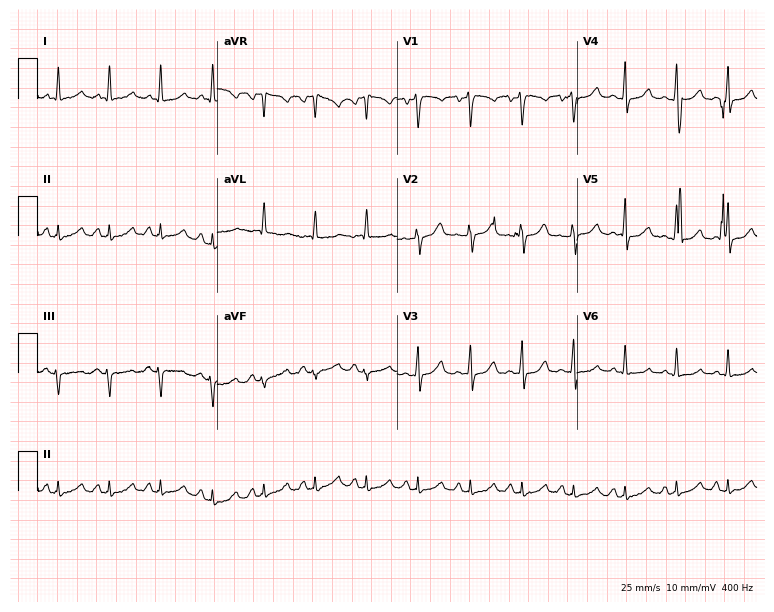
Electrocardiogram, a female, 40 years old. Interpretation includes sinus tachycardia (a sinus rate of 100 beats per minute or more).